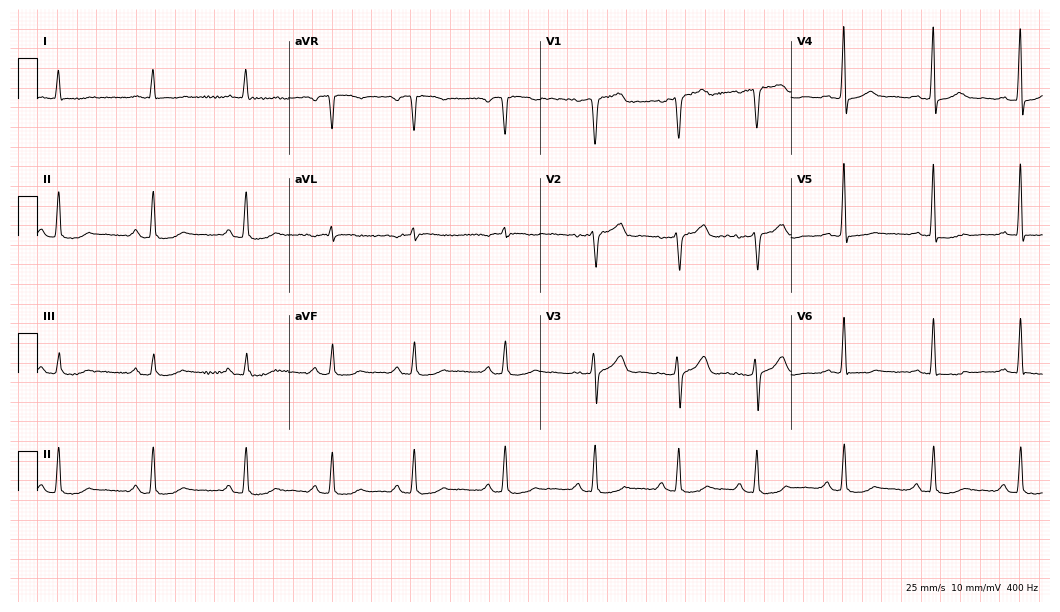
Standard 12-lead ECG recorded from a 59-year-old man (10.2-second recording at 400 Hz). None of these six findings is recorded: first-degree AV block, right bundle branch block (RBBB), left bundle branch block (LBBB), sinus bradycardia, atrial fibrillation (AF), sinus tachycardia.